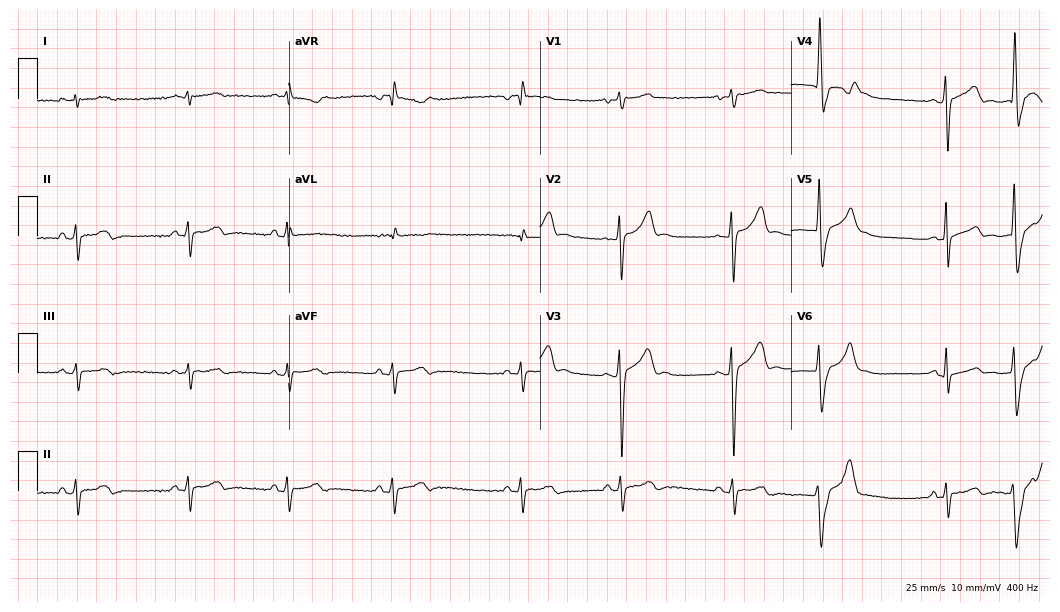
Standard 12-lead ECG recorded from a 17-year-old man. None of these six findings is recorded: first-degree AV block, right bundle branch block (RBBB), left bundle branch block (LBBB), sinus bradycardia, atrial fibrillation (AF), sinus tachycardia. Findings outside these six are not listed.